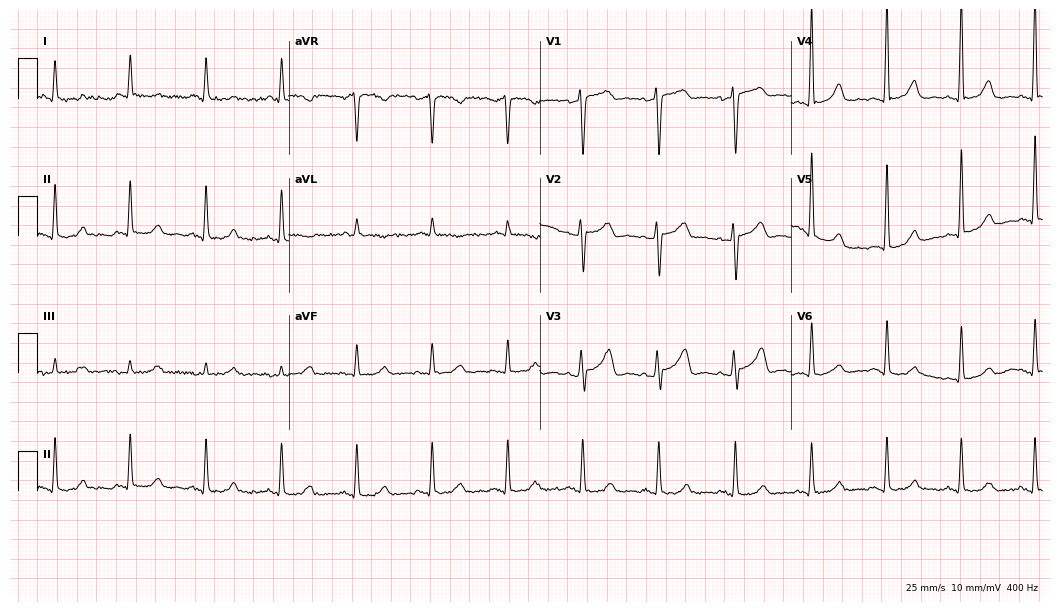
Standard 12-lead ECG recorded from a 47-year-old female (10.2-second recording at 400 Hz). Read as a normal ECG.